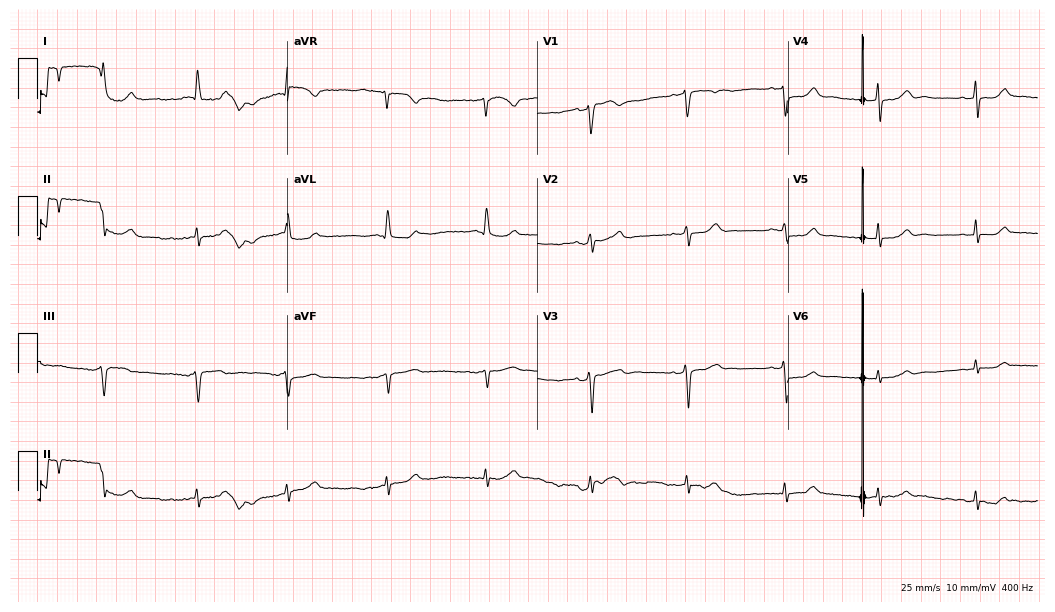
Resting 12-lead electrocardiogram (10.2-second recording at 400 Hz). Patient: a female, 61 years old. Read as a normal ECG.